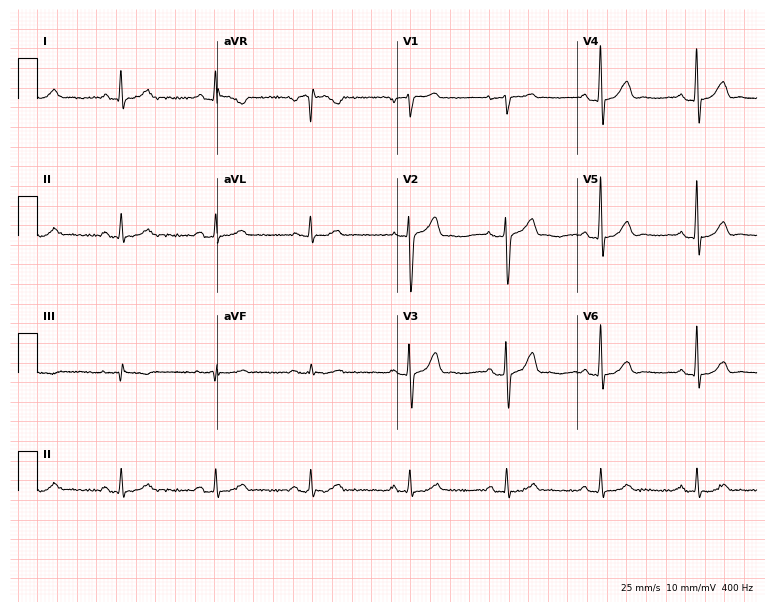
Resting 12-lead electrocardiogram (7.3-second recording at 400 Hz). Patient: a male, 48 years old. Read as a normal ECG.